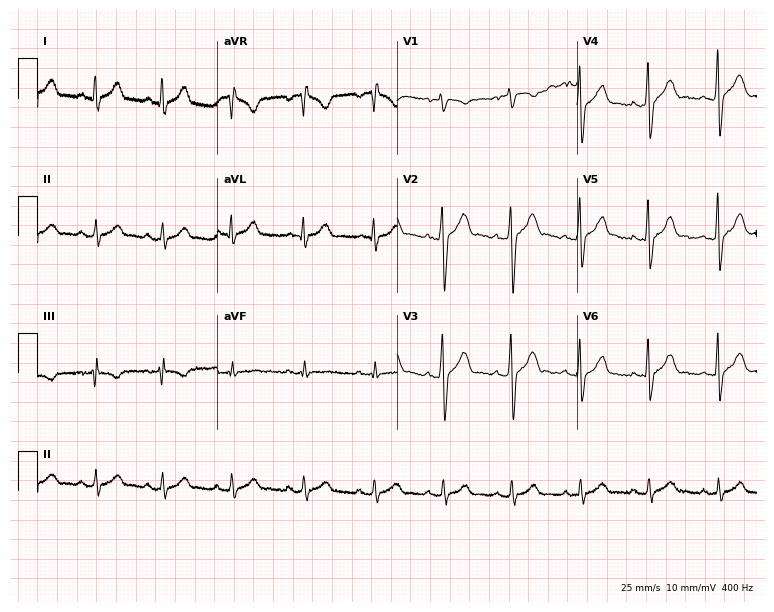
12-lead ECG from a 29-year-old male (7.3-second recording at 400 Hz). Recorded interpretation: within normal limits.